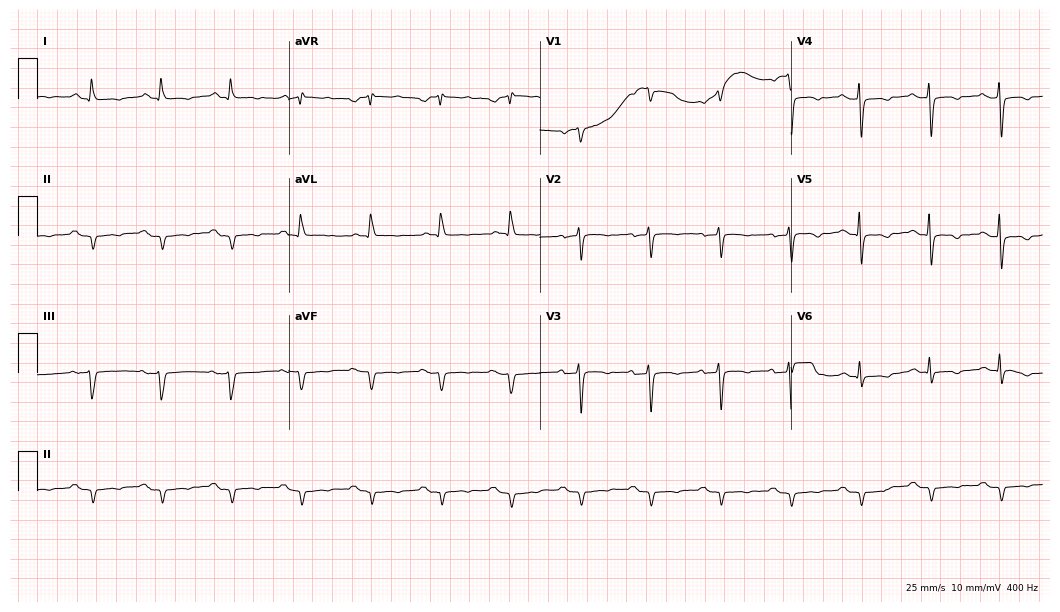
12-lead ECG from a 79-year-old woman. No first-degree AV block, right bundle branch block (RBBB), left bundle branch block (LBBB), sinus bradycardia, atrial fibrillation (AF) or sinus tachycardia recorded for this tracing. Findings outside these six are not listed.